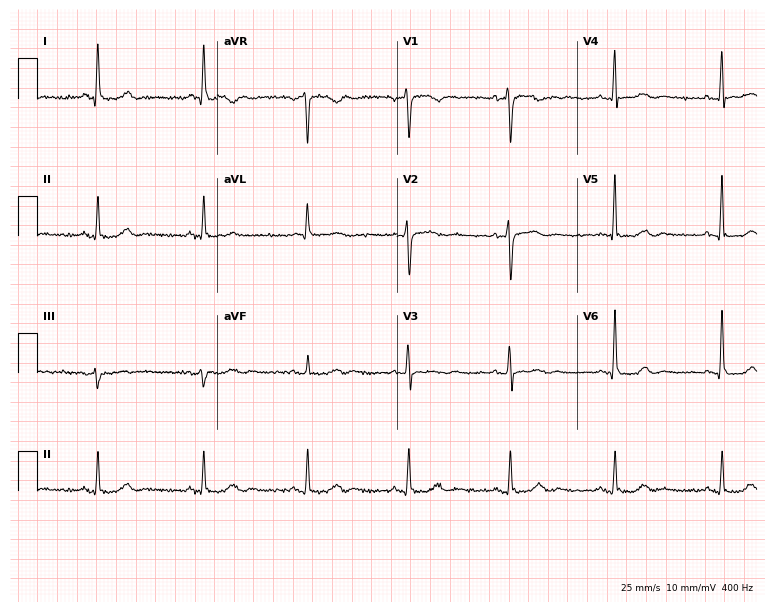
12-lead ECG from a 53-year-old female. No first-degree AV block, right bundle branch block (RBBB), left bundle branch block (LBBB), sinus bradycardia, atrial fibrillation (AF) or sinus tachycardia recorded for this tracing.